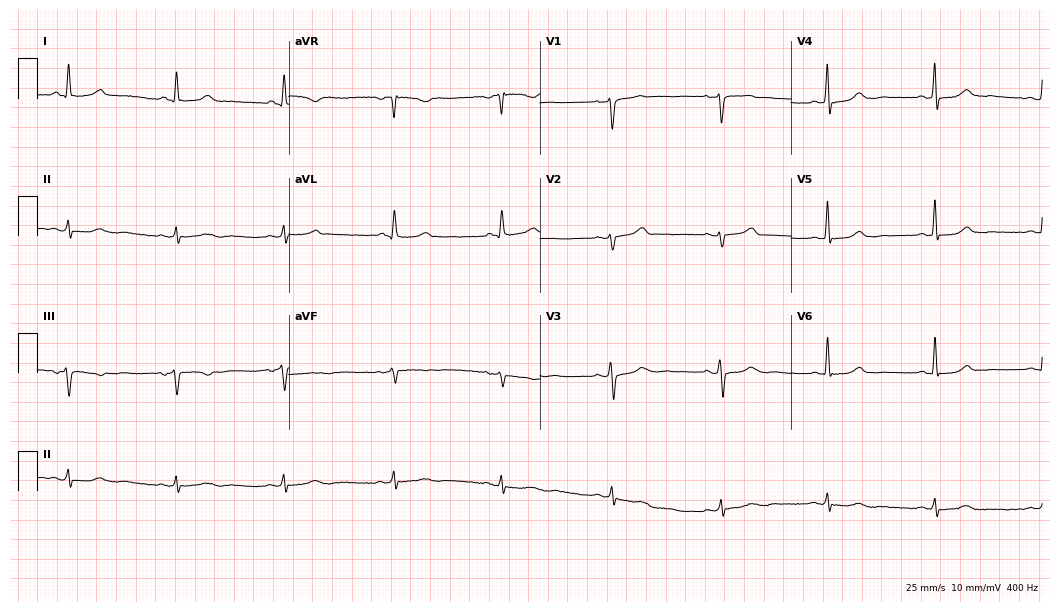
ECG (10.2-second recording at 400 Hz) — a female, 49 years old. Screened for six findings — first-degree AV block, right bundle branch block, left bundle branch block, sinus bradycardia, atrial fibrillation, sinus tachycardia — none is recorded.